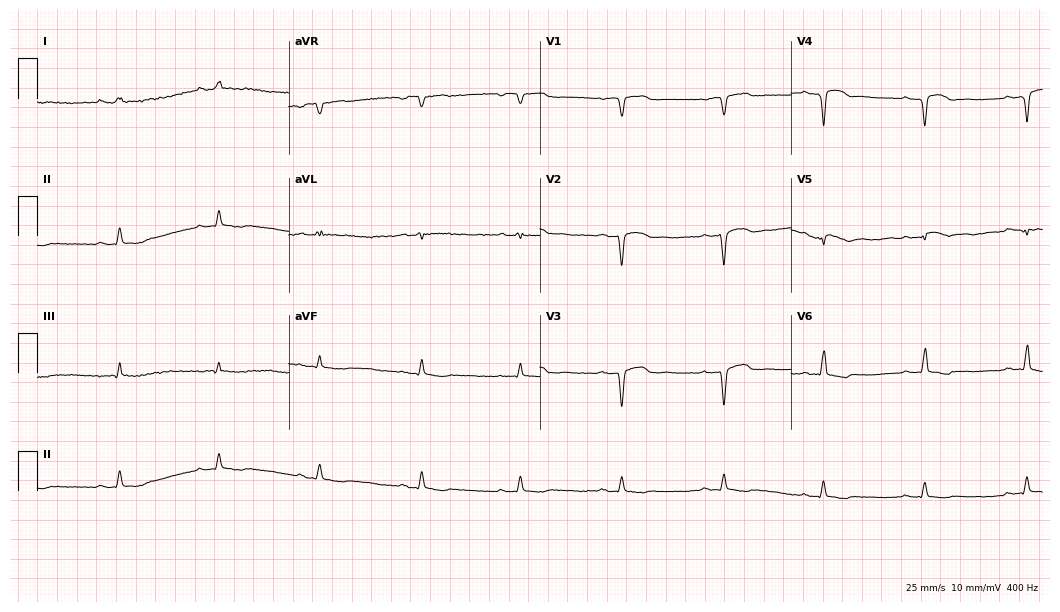
Electrocardiogram (10.2-second recording at 400 Hz), a male, 61 years old. Of the six screened findings (first-degree AV block, right bundle branch block, left bundle branch block, sinus bradycardia, atrial fibrillation, sinus tachycardia), none is recorded. Other findings, if any, are not listed.